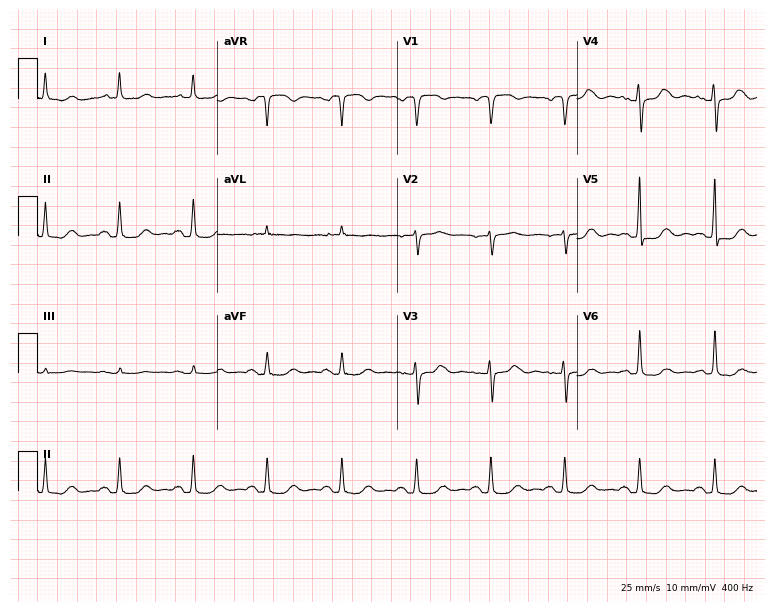
Electrocardiogram (7.3-second recording at 400 Hz), a 74-year-old female. Of the six screened findings (first-degree AV block, right bundle branch block (RBBB), left bundle branch block (LBBB), sinus bradycardia, atrial fibrillation (AF), sinus tachycardia), none is recorded.